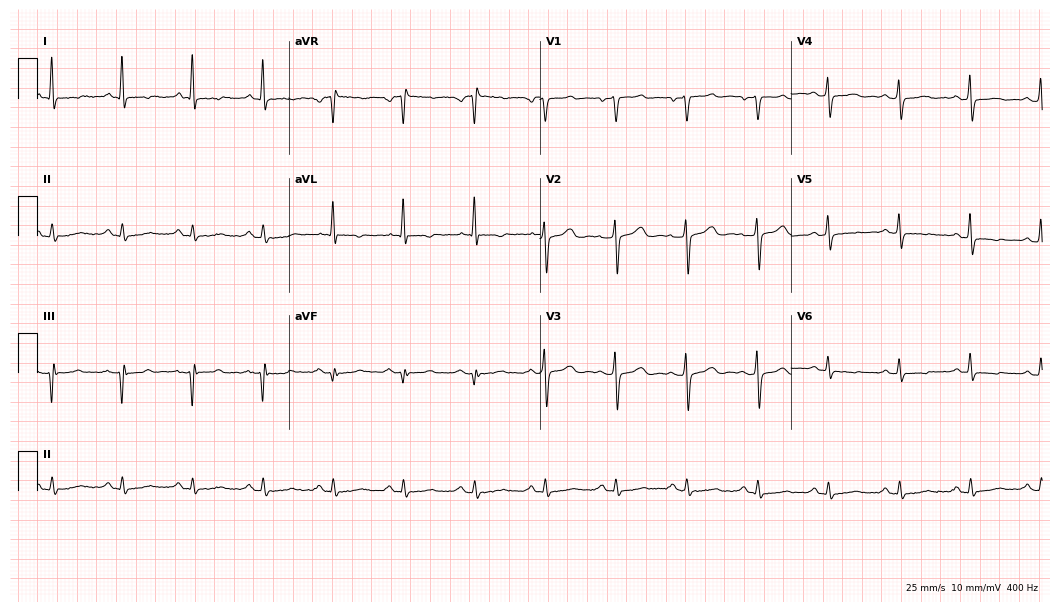
ECG (10.2-second recording at 400 Hz) — a 58-year-old male patient. Screened for six findings — first-degree AV block, right bundle branch block (RBBB), left bundle branch block (LBBB), sinus bradycardia, atrial fibrillation (AF), sinus tachycardia — none is recorded. Findings outside these six are not listed.